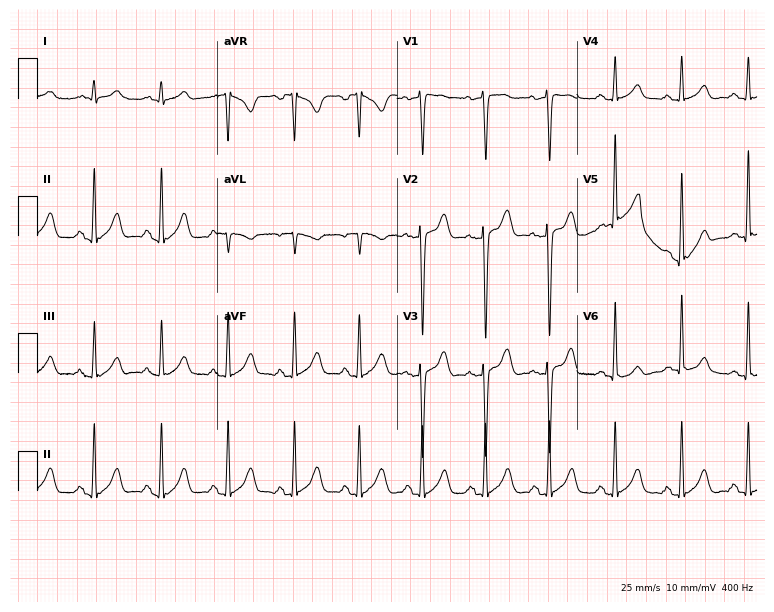
Standard 12-lead ECG recorded from a male, 44 years old (7.3-second recording at 400 Hz). Read as a normal ECG.